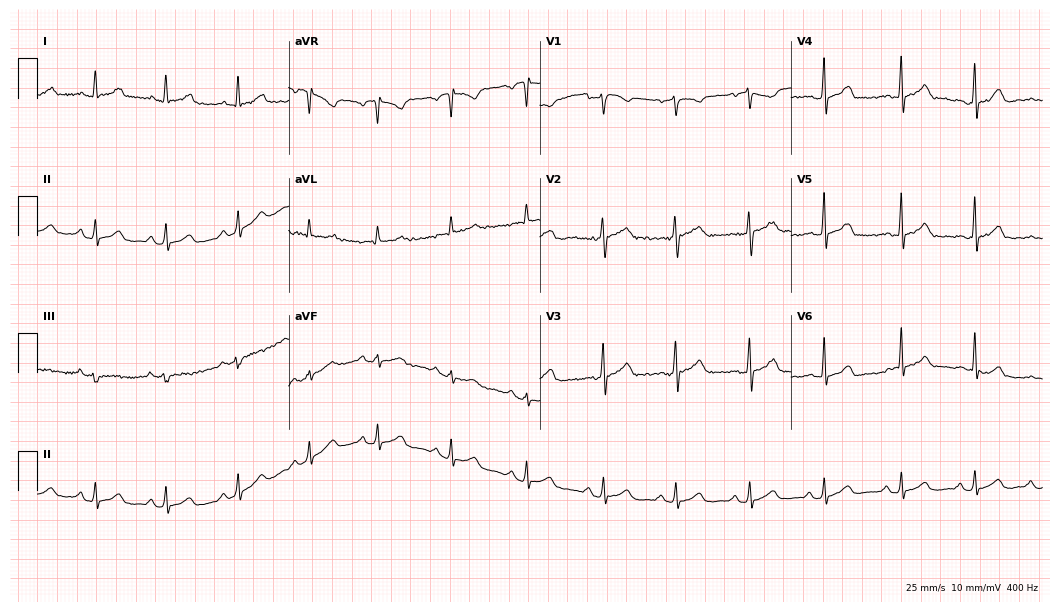
Electrocardiogram (10.2-second recording at 400 Hz), a female patient, 35 years old. Overall reading on record: normal ECG.